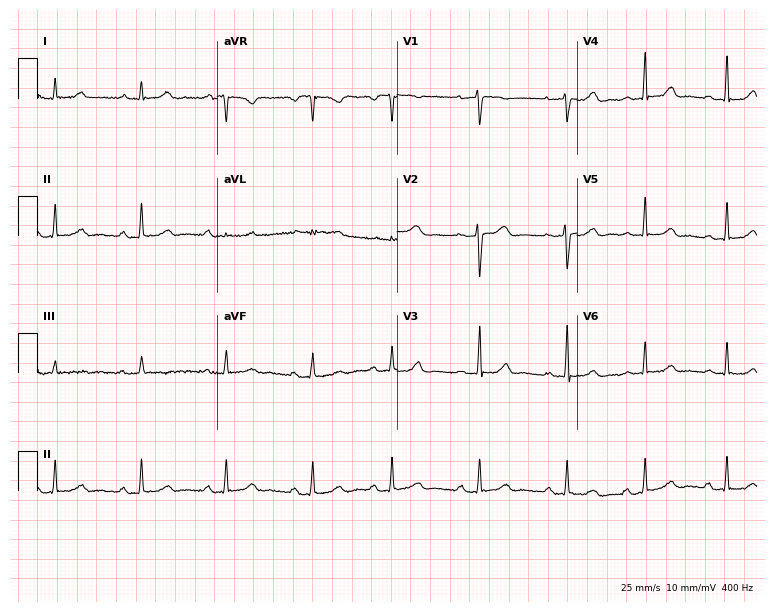
Electrocardiogram, a 44-year-old female. Of the six screened findings (first-degree AV block, right bundle branch block (RBBB), left bundle branch block (LBBB), sinus bradycardia, atrial fibrillation (AF), sinus tachycardia), none is recorded. Findings outside these six are not listed.